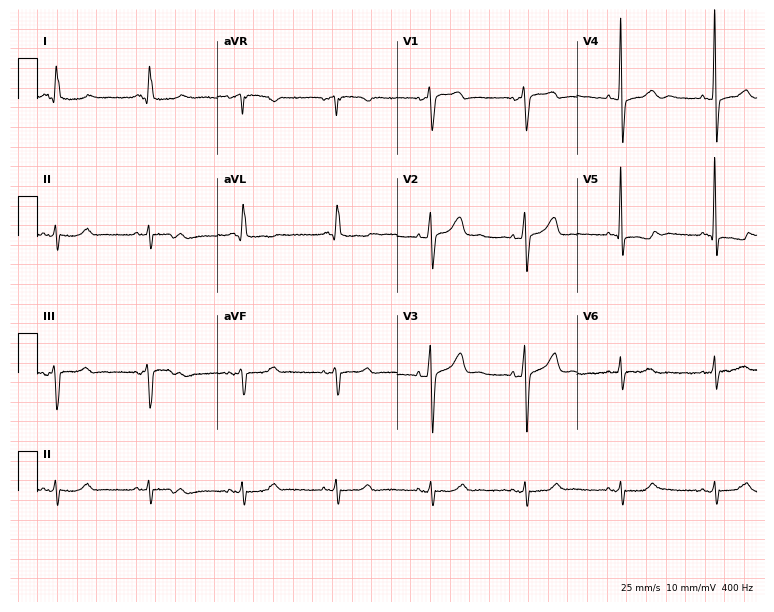
ECG — a man, 80 years old. Screened for six findings — first-degree AV block, right bundle branch block (RBBB), left bundle branch block (LBBB), sinus bradycardia, atrial fibrillation (AF), sinus tachycardia — none is recorded. Other findings, if any, are not listed.